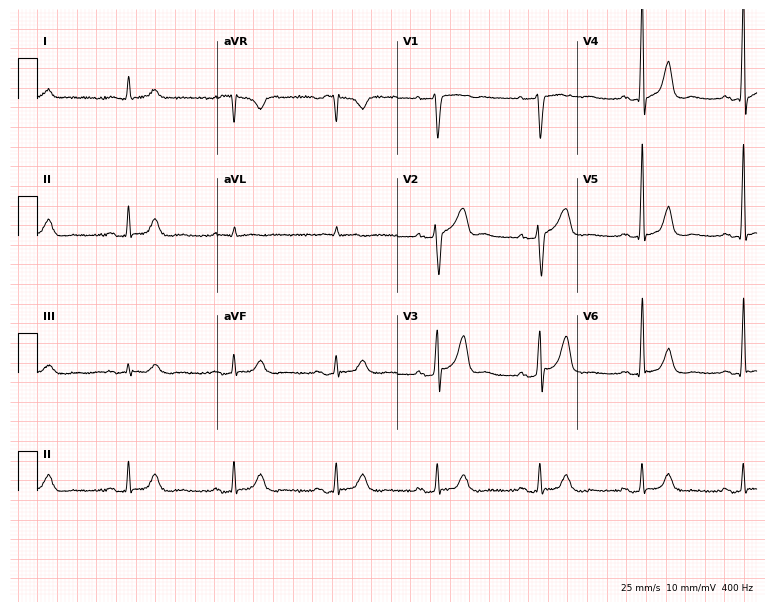
Electrocardiogram (7.3-second recording at 400 Hz), a 64-year-old male. Overall reading on record: normal ECG.